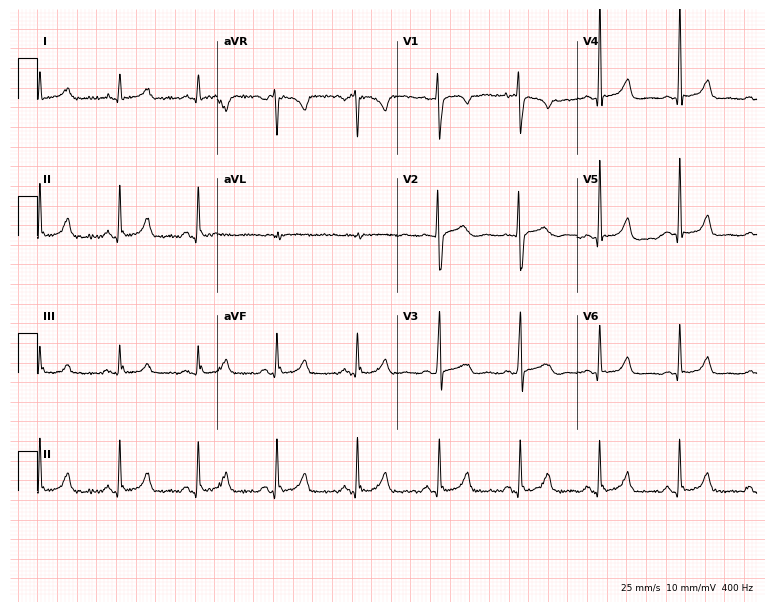
Resting 12-lead electrocardiogram (7.3-second recording at 400 Hz). Patient: a woman, 45 years old. Read as a normal ECG.